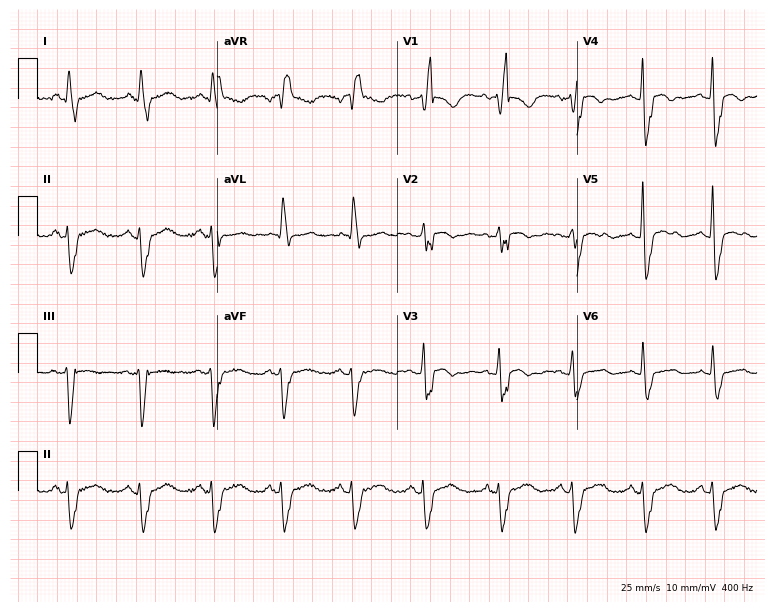
Electrocardiogram (7.3-second recording at 400 Hz), a 68-year-old female. Interpretation includes right bundle branch block.